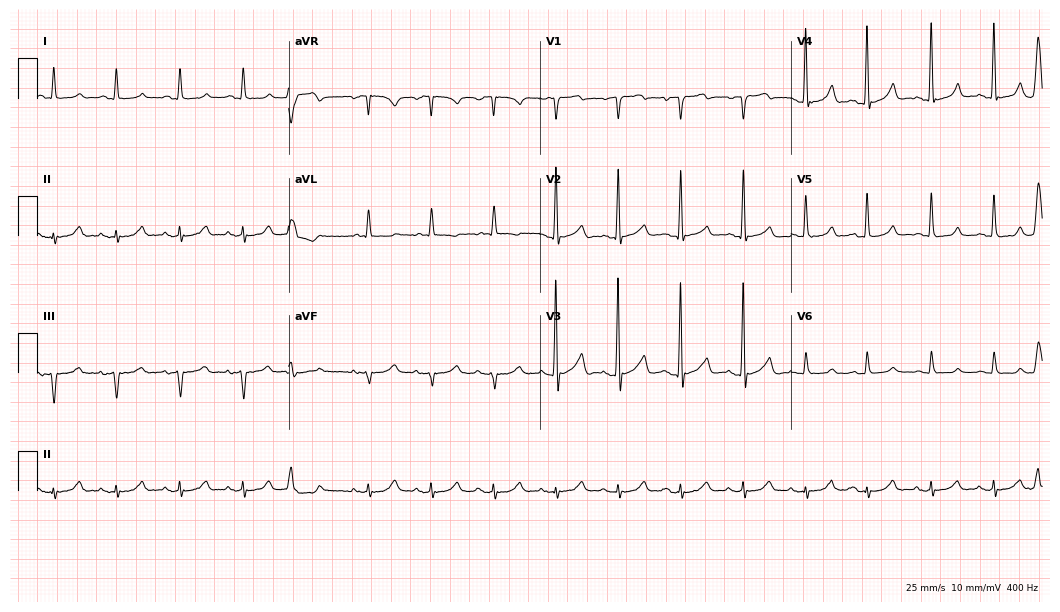
12-lead ECG from an 83-year-old male patient. Screened for six findings — first-degree AV block, right bundle branch block, left bundle branch block, sinus bradycardia, atrial fibrillation, sinus tachycardia — none is recorded. Other findings, if any, are not listed.